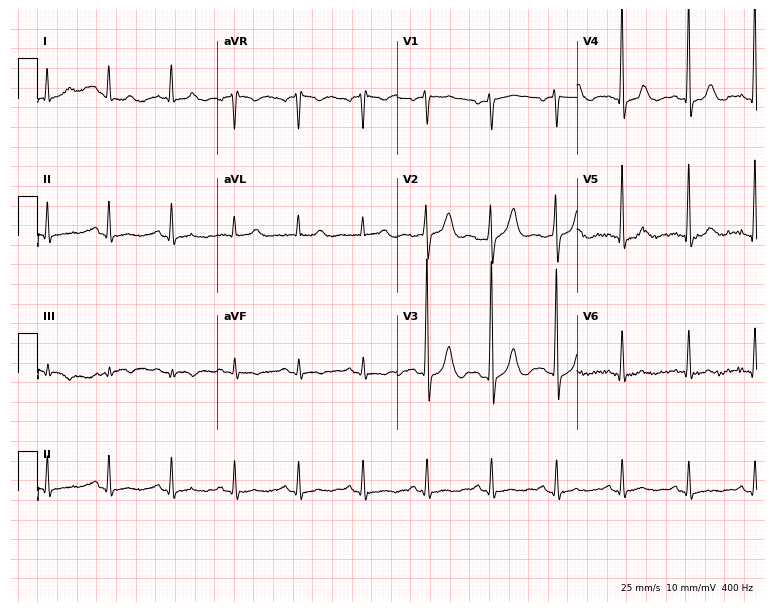
Standard 12-lead ECG recorded from a 59-year-old male patient. None of these six findings is recorded: first-degree AV block, right bundle branch block (RBBB), left bundle branch block (LBBB), sinus bradycardia, atrial fibrillation (AF), sinus tachycardia. Other findings, if any, are not listed.